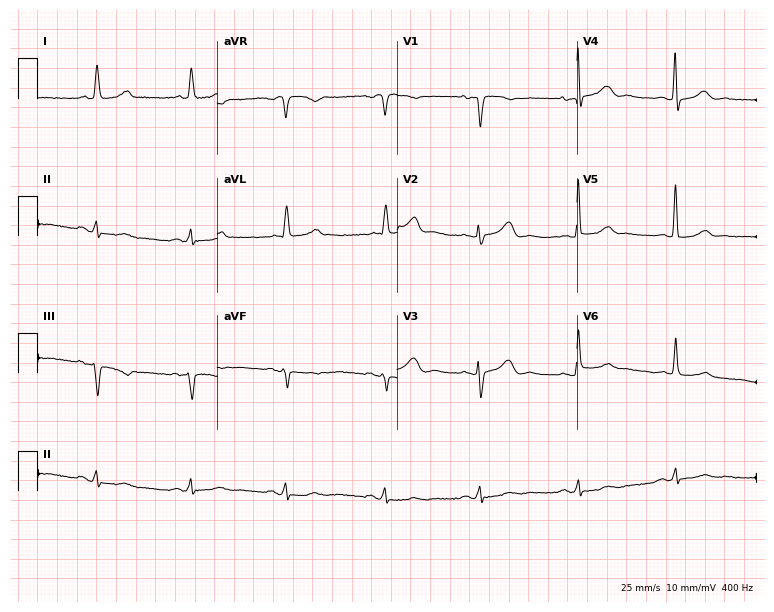
12-lead ECG from an 80-year-old female. No first-degree AV block, right bundle branch block, left bundle branch block, sinus bradycardia, atrial fibrillation or sinus tachycardia recorded for this tracing.